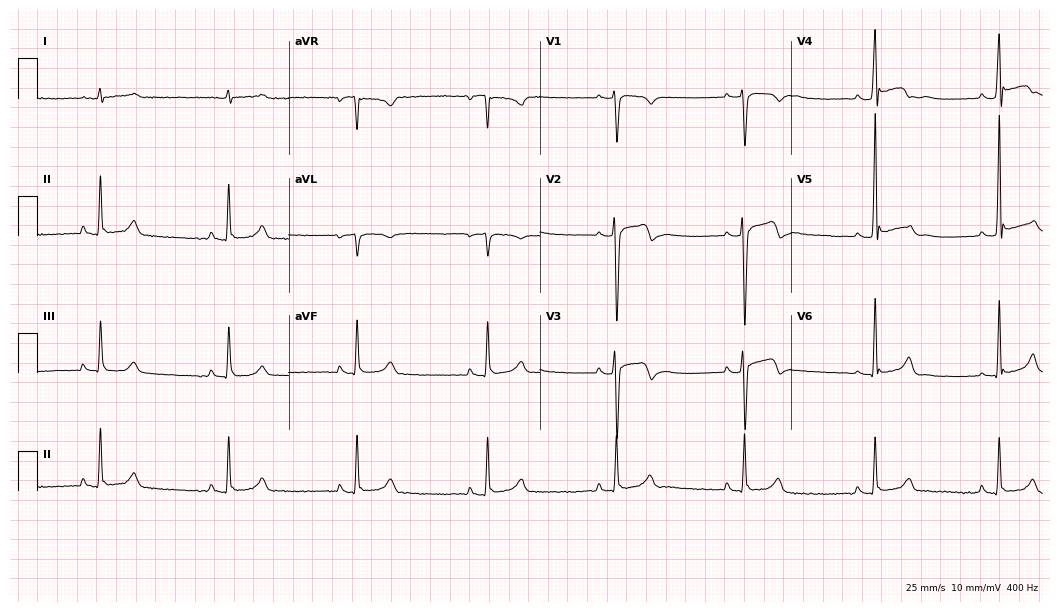
Resting 12-lead electrocardiogram. Patient: a male, 19 years old. The tracing shows sinus bradycardia (a sinus rate of 50 beats per minute or less).